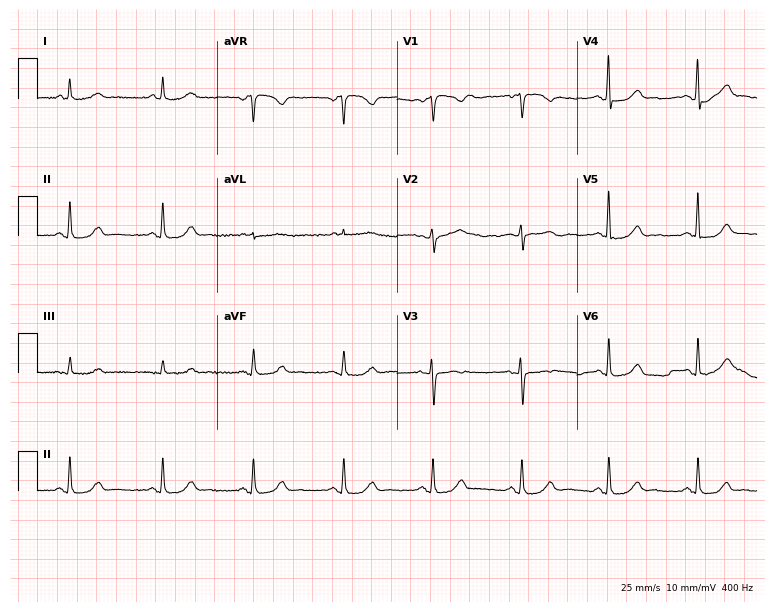
Resting 12-lead electrocardiogram. Patient: a woman, 54 years old. Read as a normal ECG.